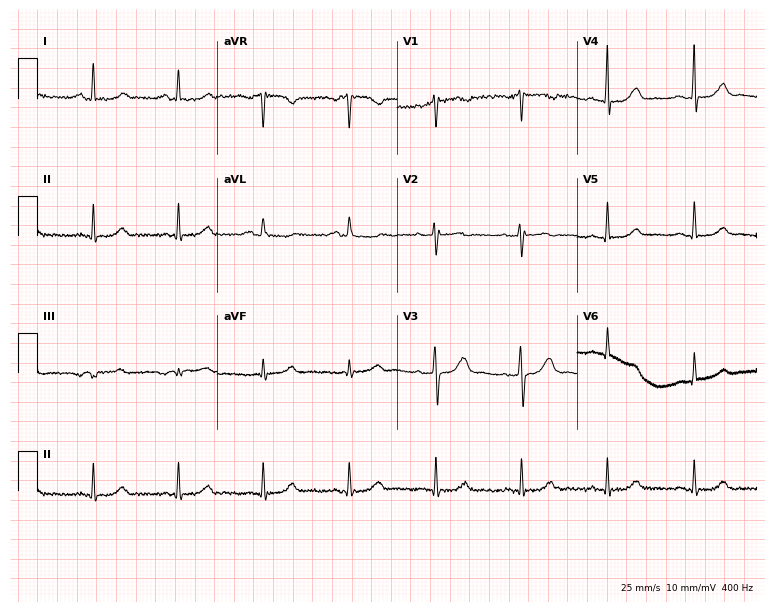
Standard 12-lead ECG recorded from a female, 62 years old. Read as a normal ECG.